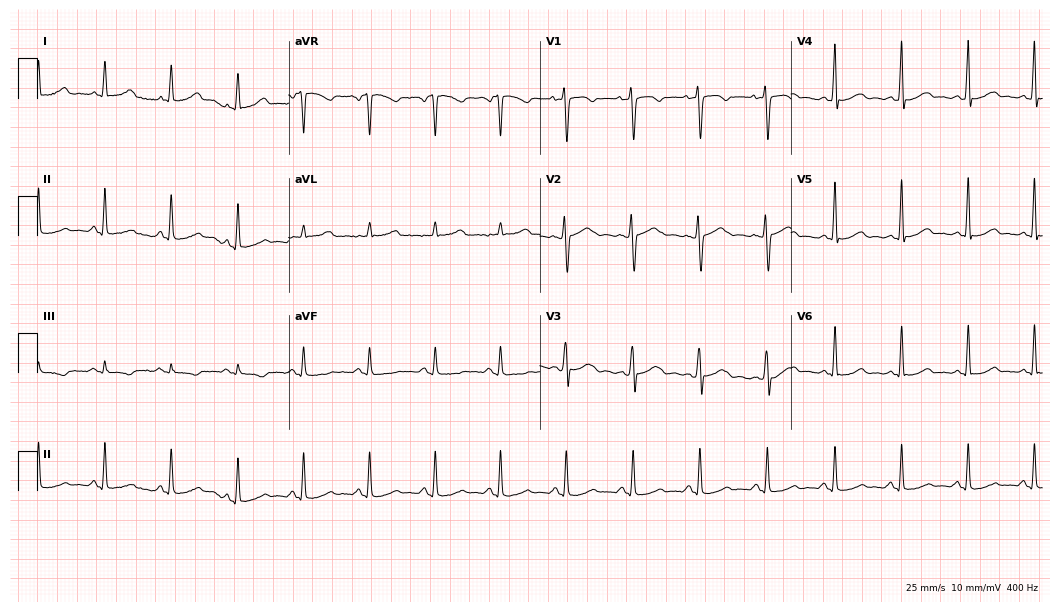
Electrocardiogram (10.2-second recording at 400 Hz), a 36-year-old woman. Overall reading on record: normal ECG.